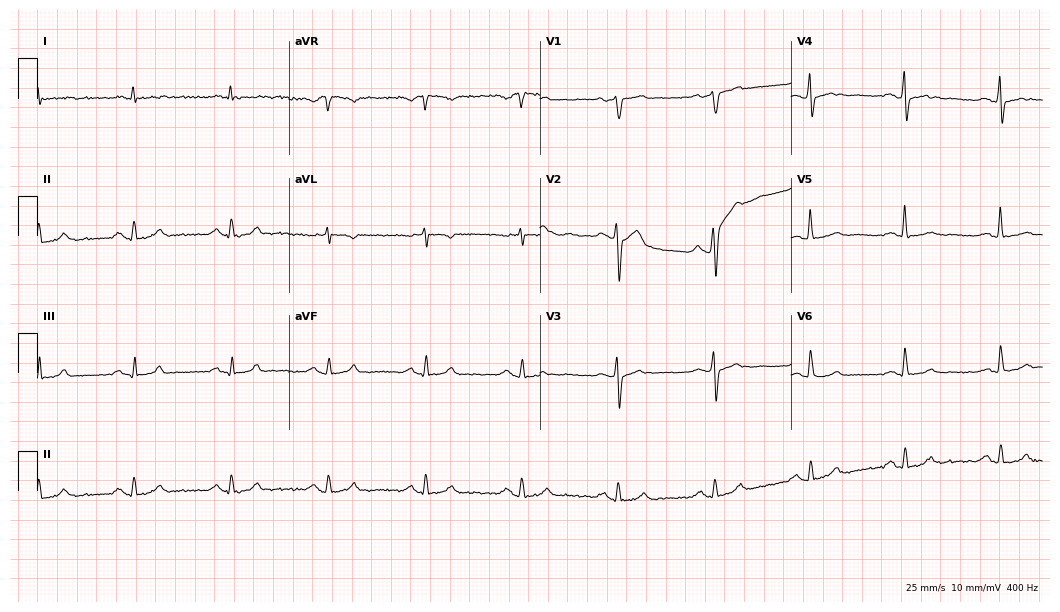
Electrocardiogram, a man, 59 years old. Of the six screened findings (first-degree AV block, right bundle branch block, left bundle branch block, sinus bradycardia, atrial fibrillation, sinus tachycardia), none is recorded.